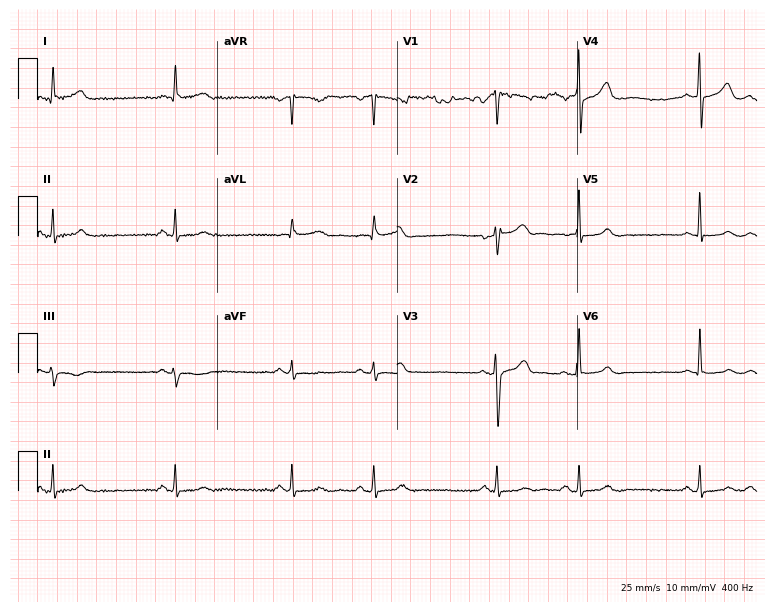
Standard 12-lead ECG recorded from a 72-year-old male (7.3-second recording at 400 Hz). None of these six findings is recorded: first-degree AV block, right bundle branch block (RBBB), left bundle branch block (LBBB), sinus bradycardia, atrial fibrillation (AF), sinus tachycardia. Findings outside these six are not listed.